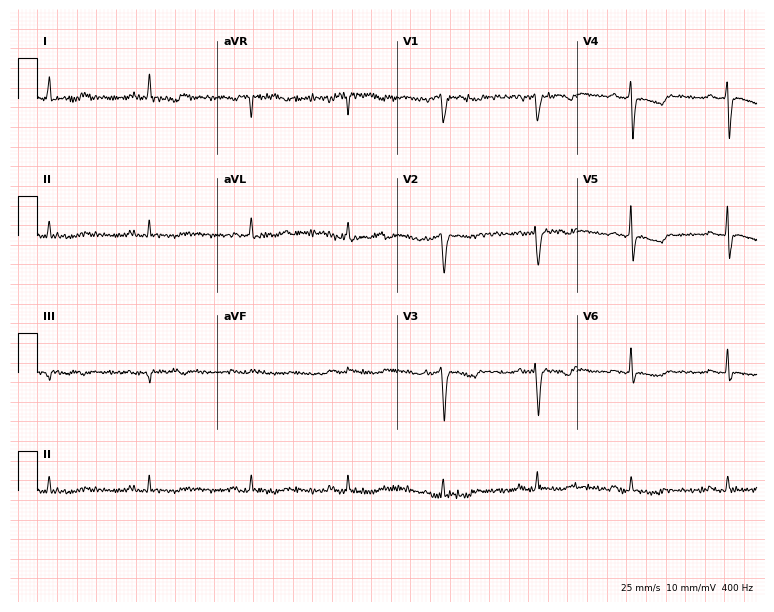
Electrocardiogram (7.3-second recording at 400 Hz), a 63-year-old female. Of the six screened findings (first-degree AV block, right bundle branch block (RBBB), left bundle branch block (LBBB), sinus bradycardia, atrial fibrillation (AF), sinus tachycardia), none is recorded. Other findings, if any, are not listed.